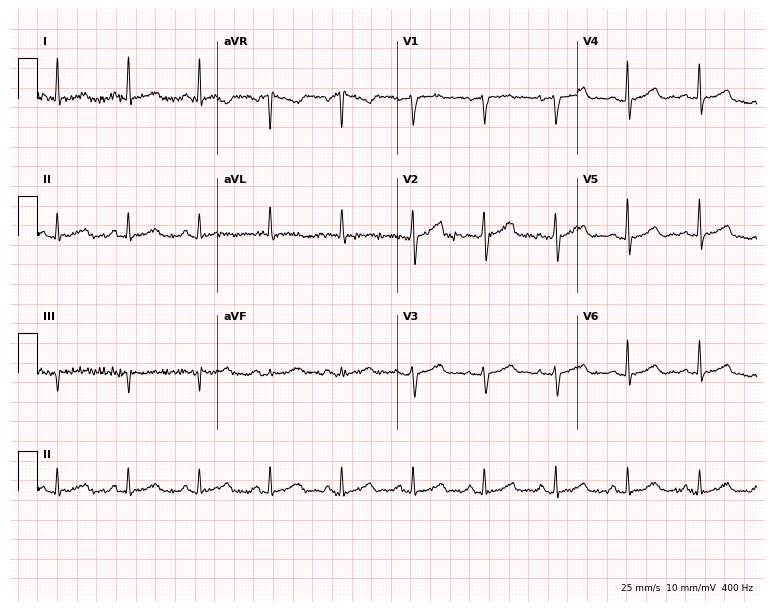
12-lead ECG from a woman, 63 years old. Labelled as a normal ECG.